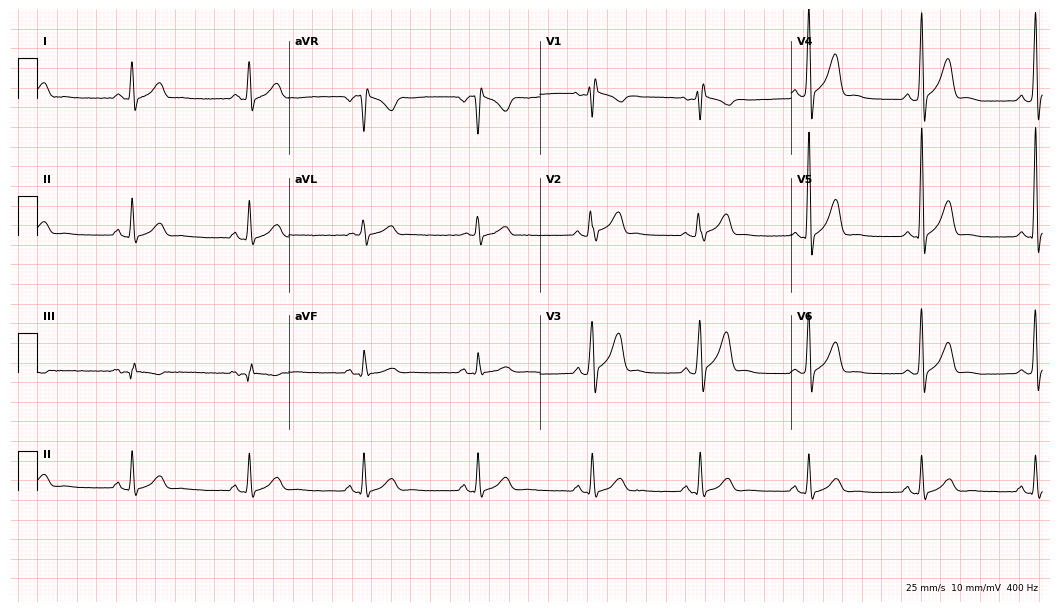
Standard 12-lead ECG recorded from a 53-year-old male. None of these six findings is recorded: first-degree AV block, right bundle branch block, left bundle branch block, sinus bradycardia, atrial fibrillation, sinus tachycardia. Only these six findings were labelled.